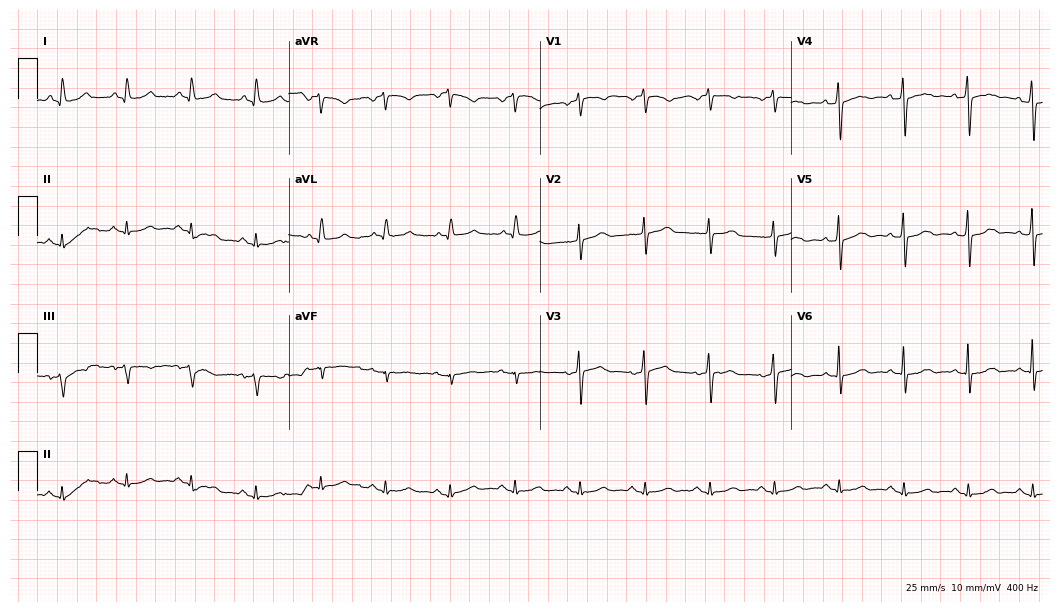
12-lead ECG from a female patient, 80 years old. Screened for six findings — first-degree AV block, right bundle branch block, left bundle branch block, sinus bradycardia, atrial fibrillation, sinus tachycardia — none is recorded. Findings outside these six are not listed.